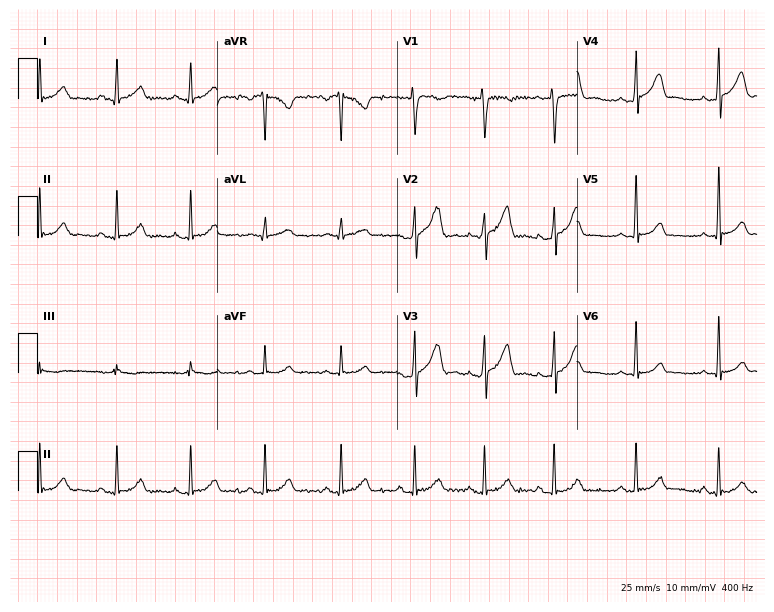
12-lead ECG from a 27-year-old male (7.3-second recording at 400 Hz). No first-degree AV block, right bundle branch block, left bundle branch block, sinus bradycardia, atrial fibrillation or sinus tachycardia recorded for this tracing. Only these six findings were labelled.